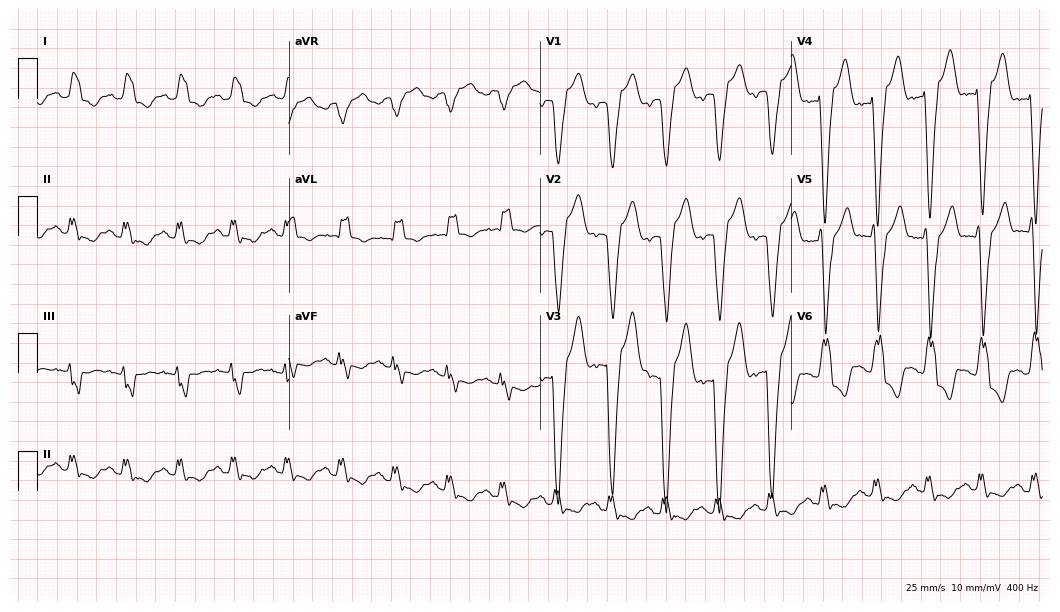
12-lead ECG (10.2-second recording at 400 Hz) from a female, 79 years old. Findings include left bundle branch block, sinus tachycardia (a sinus rate of 100 beats per minute or more).